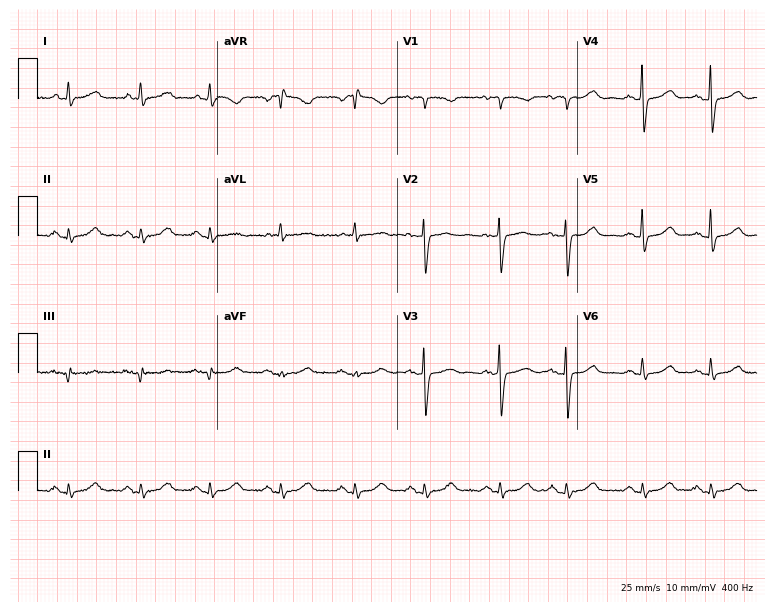
Standard 12-lead ECG recorded from a 71-year-old female. Read as a normal ECG.